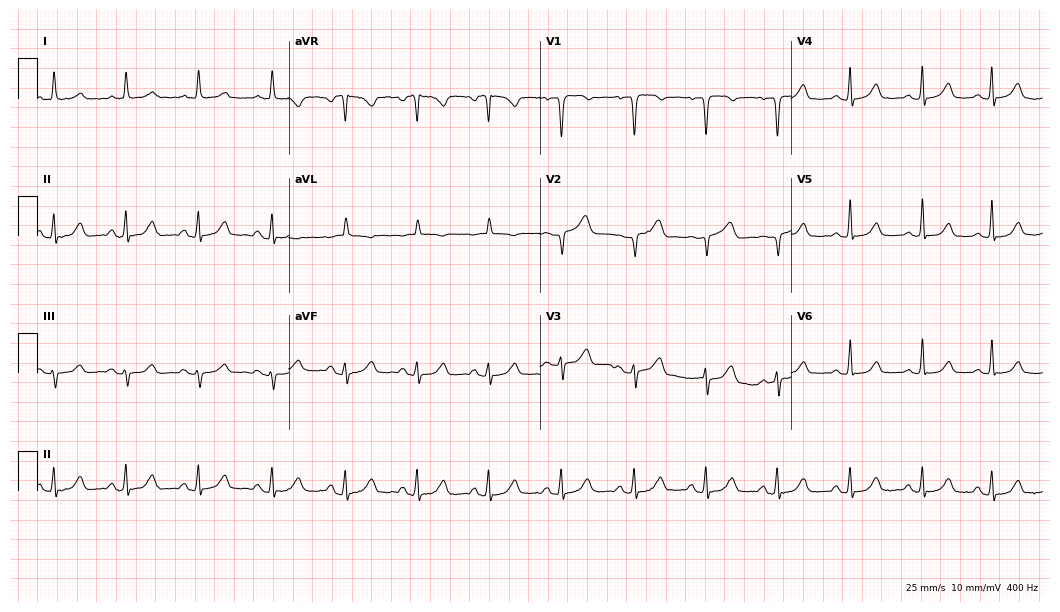
Standard 12-lead ECG recorded from a 72-year-old woman. None of these six findings is recorded: first-degree AV block, right bundle branch block (RBBB), left bundle branch block (LBBB), sinus bradycardia, atrial fibrillation (AF), sinus tachycardia. Only these six findings were labelled.